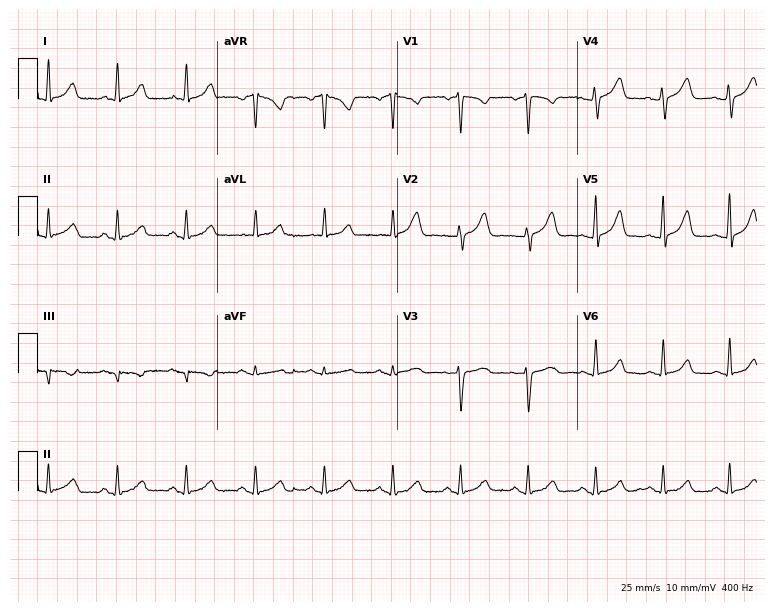
Electrocardiogram, a 39-year-old female. Of the six screened findings (first-degree AV block, right bundle branch block (RBBB), left bundle branch block (LBBB), sinus bradycardia, atrial fibrillation (AF), sinus tachycardia), none is recorded.